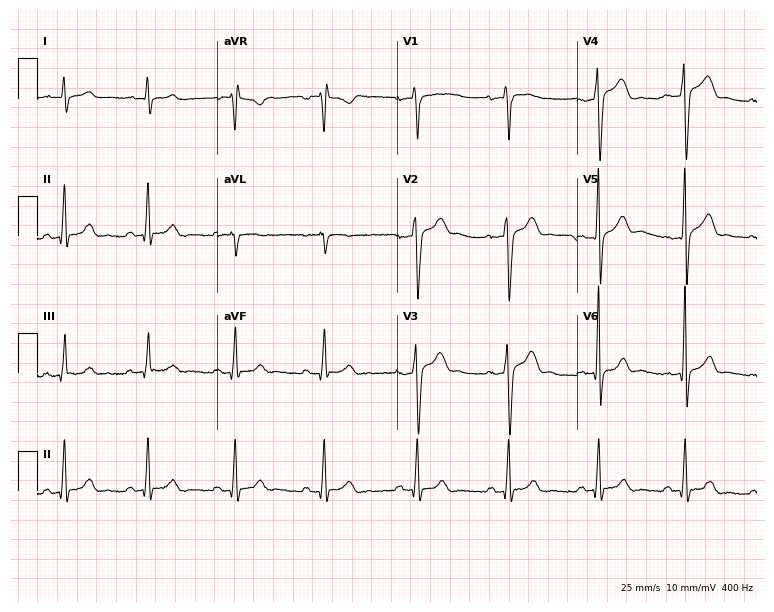
Resting 12-lead electrocardiogram (7.3-second recording at 400 Hz). Patient: a 33-year-old man. Read as a normal ECG.